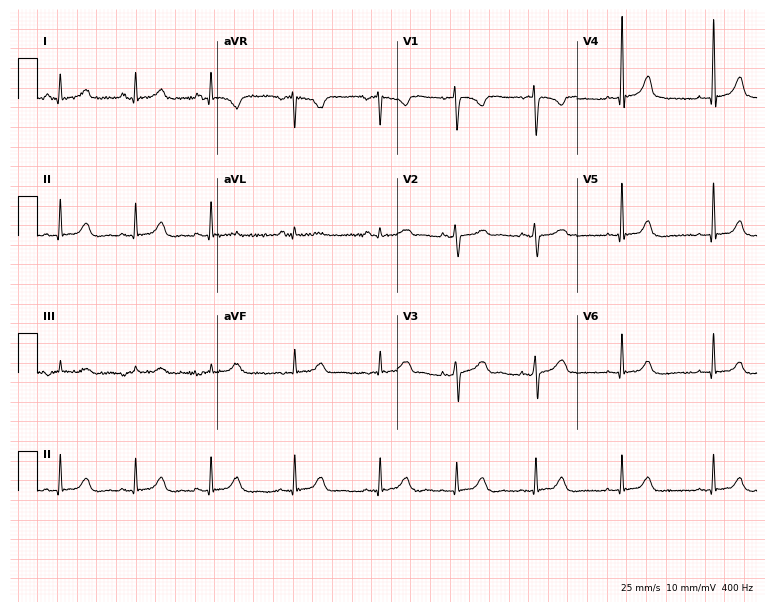
12-lead ECG from a female, 33 years old (7.3-second recording at 400 Hz). Recorded interpretation: within normal limits.